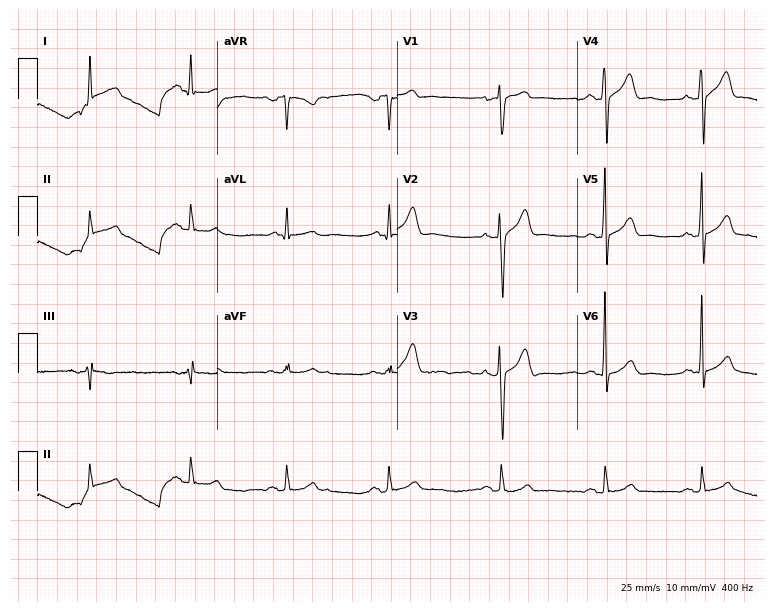
12-lead ECG (7.3-second recording at 400 Hz) from a 44-year-old male. Screened for six findings — first-degree AV block, right bundle branch block, left bundle branch block, sinus bradycardia, atrial fibrillation, sinus tachycardia — none is recorded. Other findings, if any, are not listed.